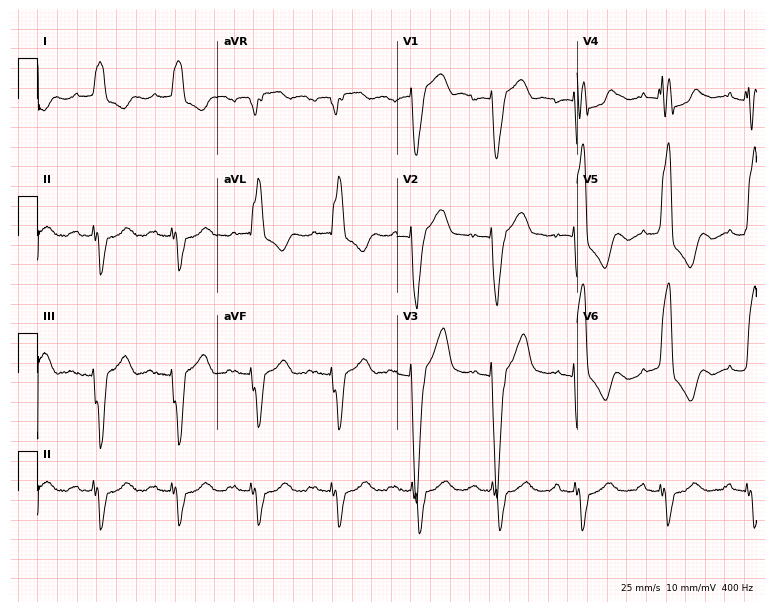
Standard 12-lead ECG recorded from a male patient, 83 years old (7.3-second recording at 400 Hz). None of these six findings is recorded: first-degree AV block, right bundle branch block, left bundle branch block, sinus bradycardia, atrial fibrillation, sinus tachycardia. Findings outside these six are not listed.